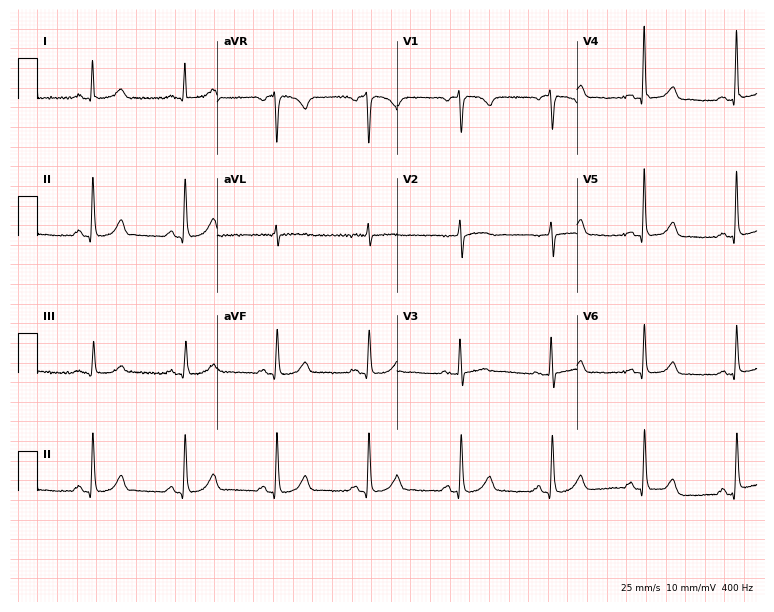
Electrocardiogram, a 71-year-old female. Overall reading on record: normal ECG.